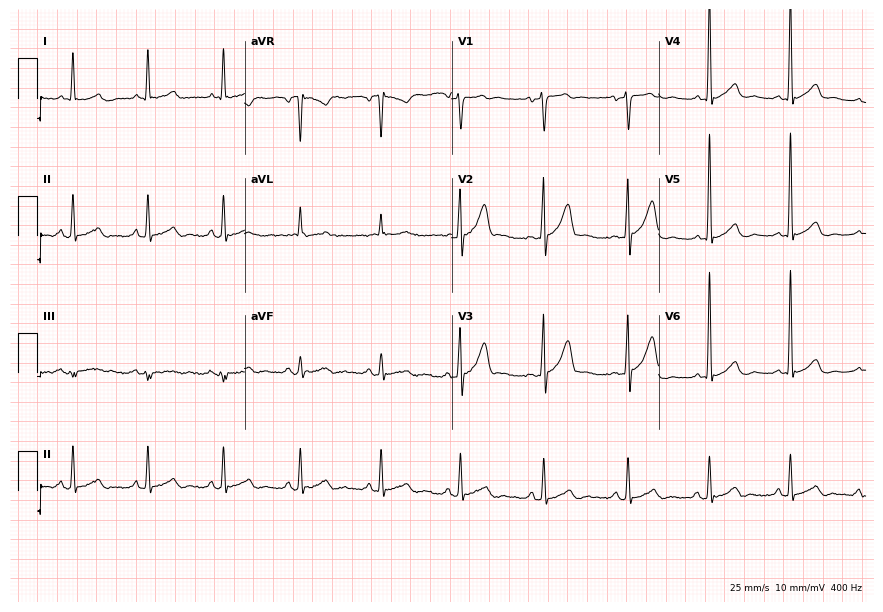
ECG (8.4-second recording at 400 Hz) — a 57-year-old male. Screened for six findings — first-degree AV block, right bundle branch block (RBBB), left bundle branch block (LBBB), sinus bradycardia, atrial fibrillation (AF), sinus tachycardia — none is recorded.